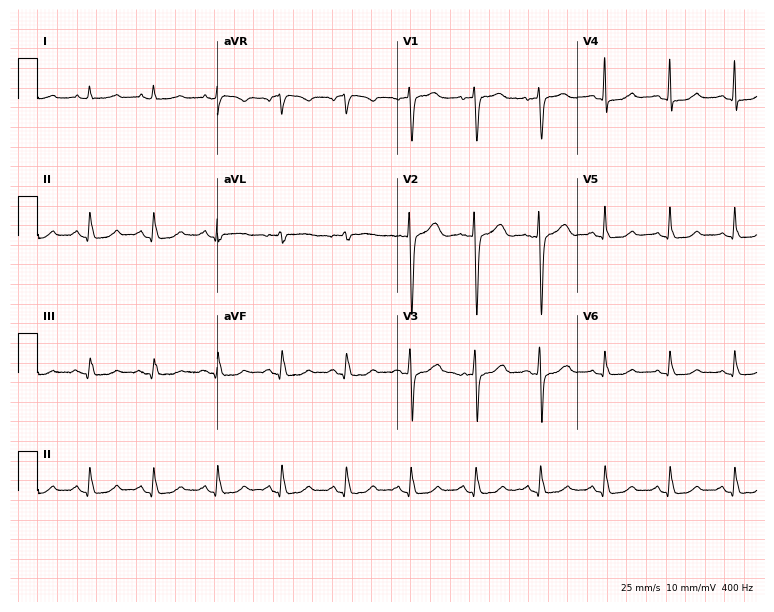
Resting 12-lead electrocardiogram. Patient: a female, 66 years old. Read as a normal ECG.